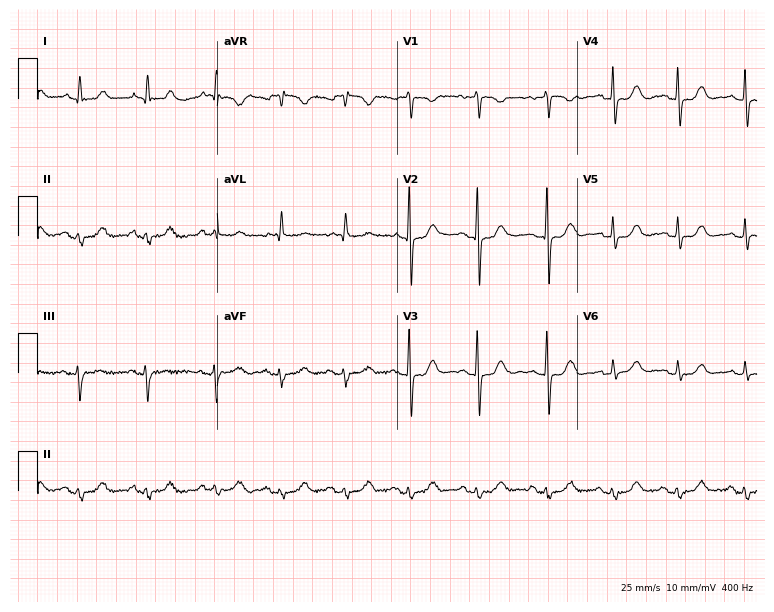
ECG (7.3-second recording at 400 Hz) — a 65-year-old woman. Screened for six findings — first-degree AV block, right bundle branch block, left bundle branch block, sinus bradycardia, atrial fibrillation, sinus tachycardia — none is recorded. Findings outside these six are not listed.